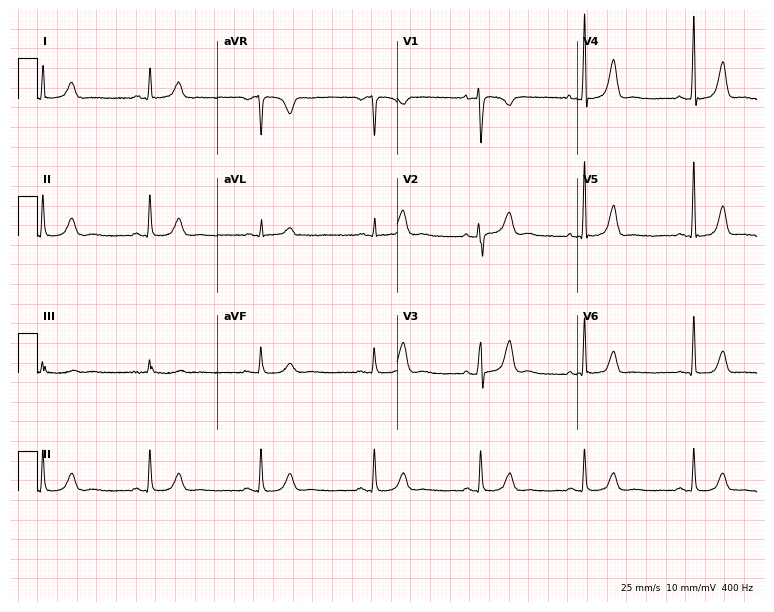
ECG (7.3-second recording at 400 Hz) — a female patient, 44 years old. Screened for six findings — first-degree AV block, right bundle branch block (RBBB), left bundle branch block (LBBB), sinus bradycardia, atrial fibrillation (AF), sinus tachycardia — none is recorded. Other findings, if any, are not listed.